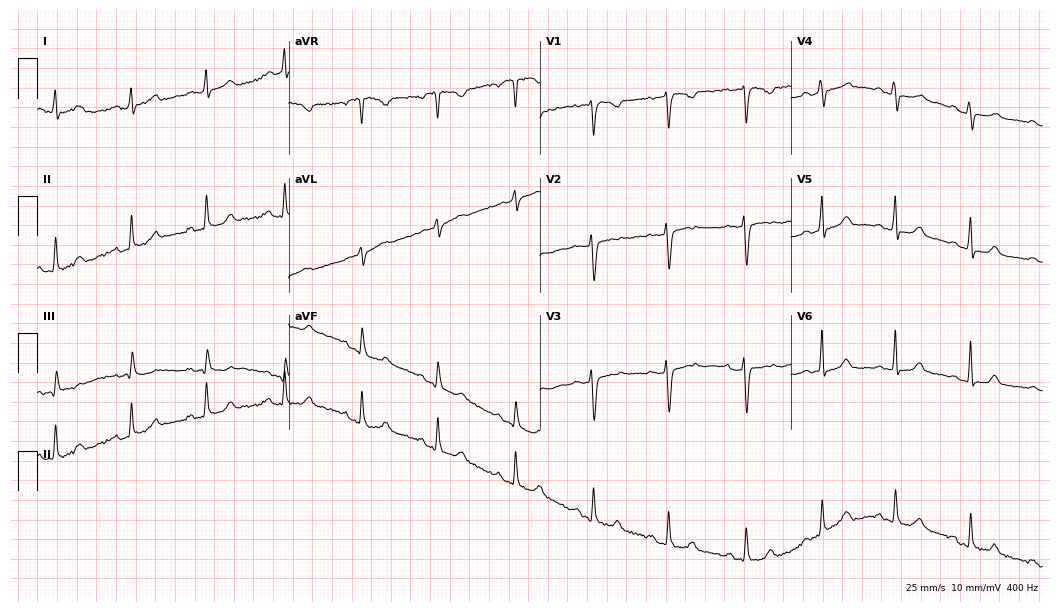
12-lead ECG from a female, 38 years old. Screened for six findings — first-degree AV block, right bundle branch block, left bundle branch block, sinus bradycardia, atrial fibrillation, sinus tachycardia — none is recorded. Findings outside these six are not listed.